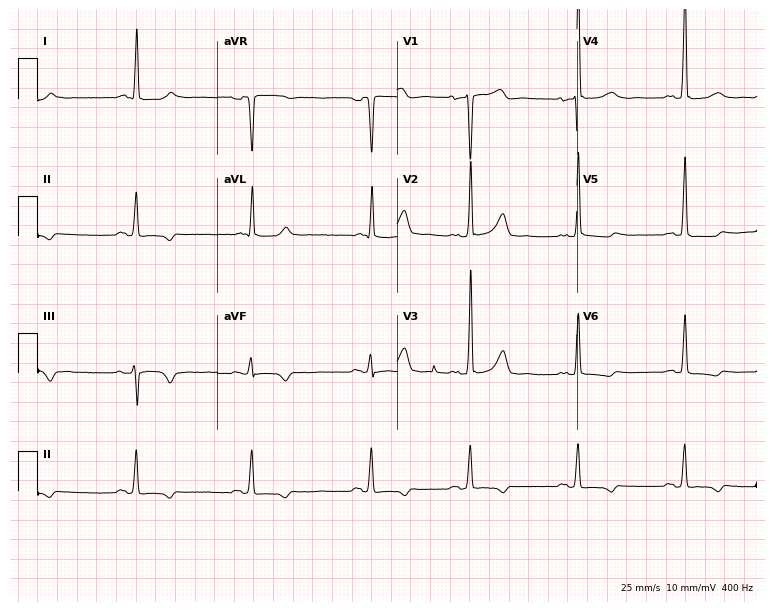
Standard 12-lead ECG recorded from a 77-year-old woman. None of these six findings is recorded: first-degree AV block, right bundle branch block (RBBB), left bundle branch block (LBBB), sinus bradycardia, atrial fibrillation (AF), sinus tachycardia. Other findings, if any, are not listed.